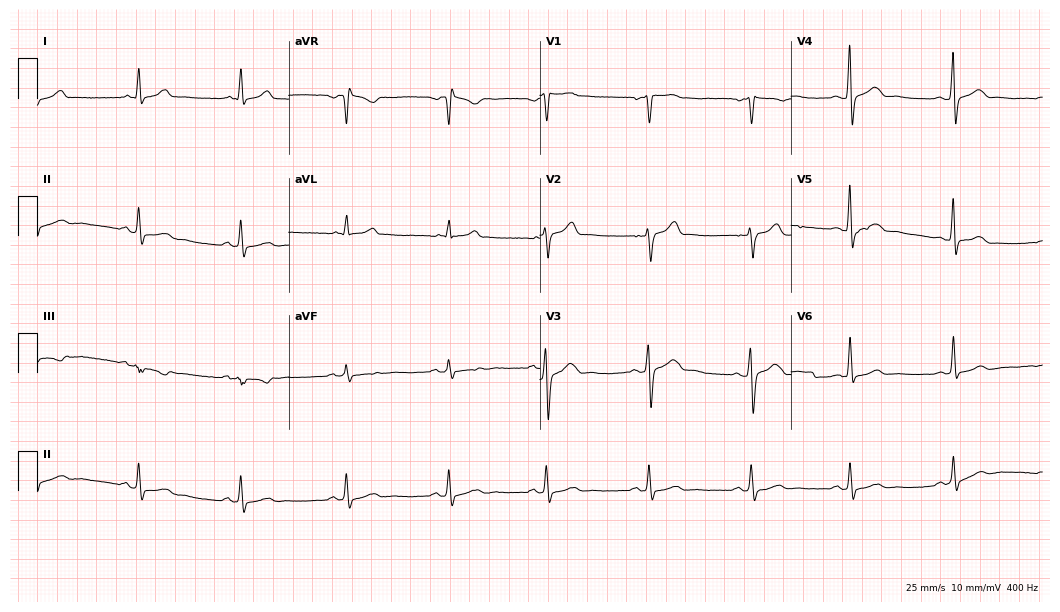
Resting 12-lead electrocardiogram (10.2-second recording at 400 Hz). Patient: a 35-year-old male. None of these six findings is recorded: first-degree AV block, right bundle branch block, left bundle branch block, sinus bradycardia, atrial fibrillation, sinus tachycardia. Other findings, if any, are not listed.